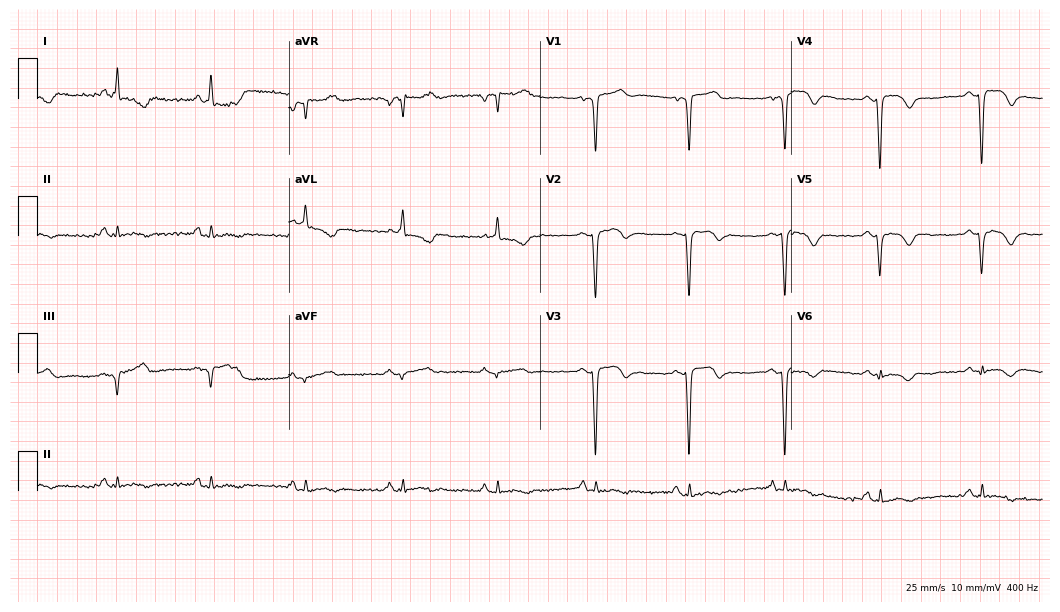
Electrocardiogram (10.2-second recording at 400 Hz), a 51-year-old female. Of the six screened findings (first-degree AV block, right bundle branch block, left bundle branch block, sinus bradycardia, atrial fibrillation, sinus tachycardia), none is recorded.